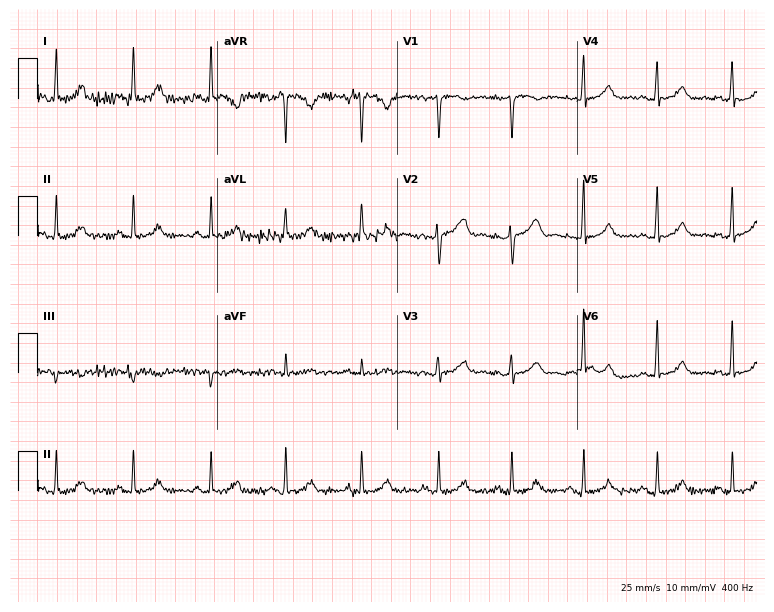
12-lead ECG from a 30-year-old woman. Labelled as a normal ECG.